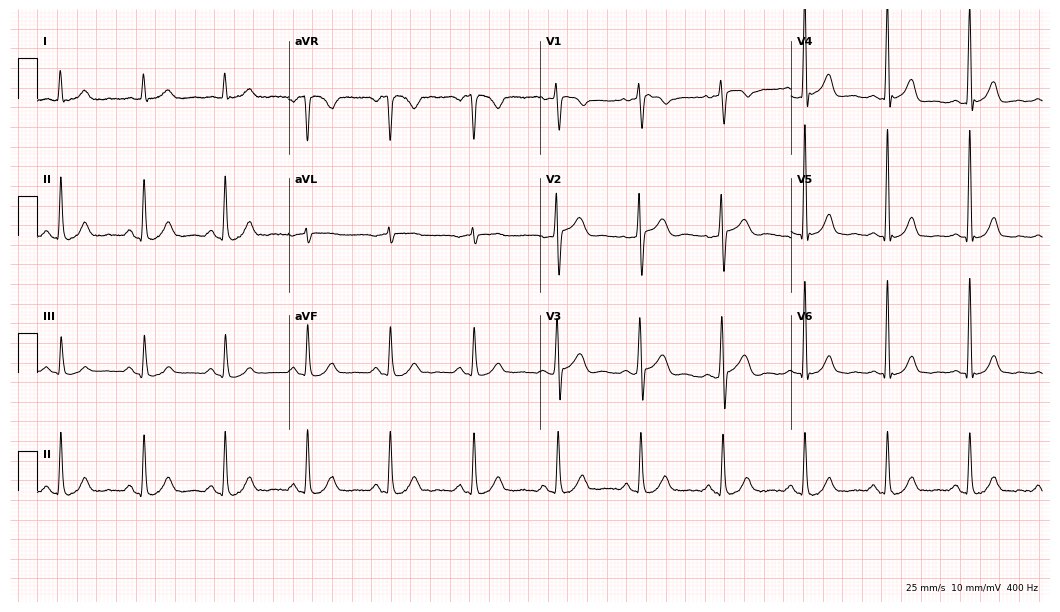
Electrocardiogram, a male, 56 years old. Overall reading on record: normal ECG.